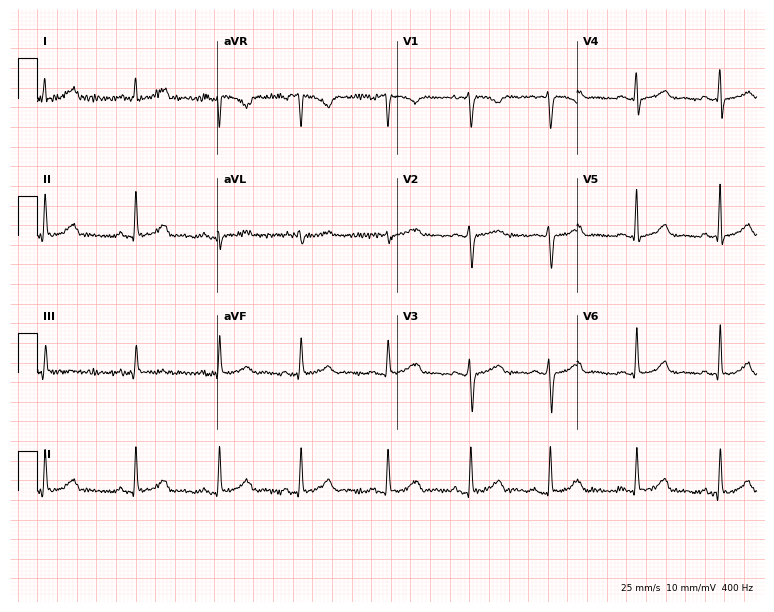
Electrocardiogram, a female, 41 years old. Overall reading on record: normal ECG.